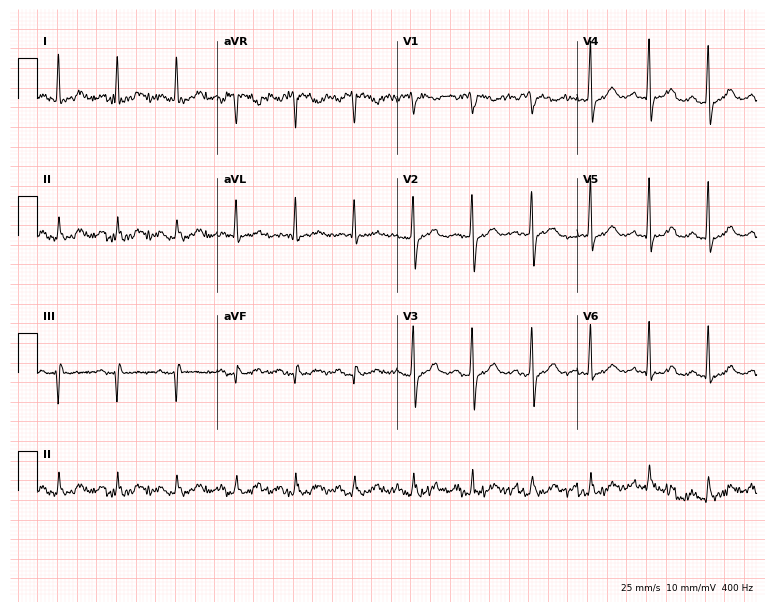
Electrocardiogram, a male patient, 82 years old. Overall reading on record: normal ECG.